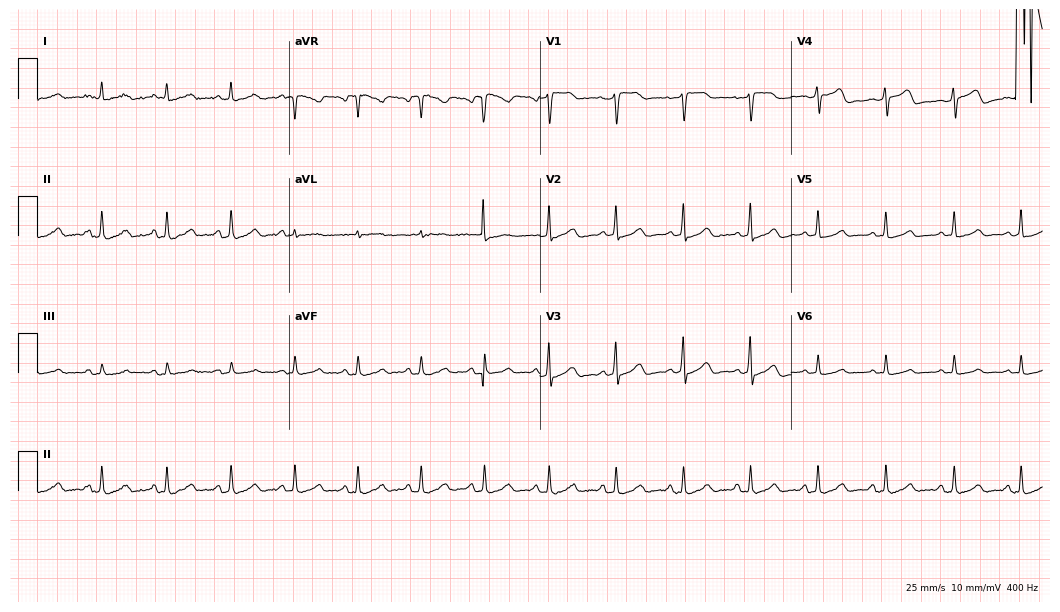
Electrocardiogram, a female, 47 years old. Of the six screened findings (first-degree AV block, right bundle branch block (RBBB), left bundle branch block (LBBB), sinus bradycardia, atrial fibrillation (AF), sinus tachycardia), none is recorded.